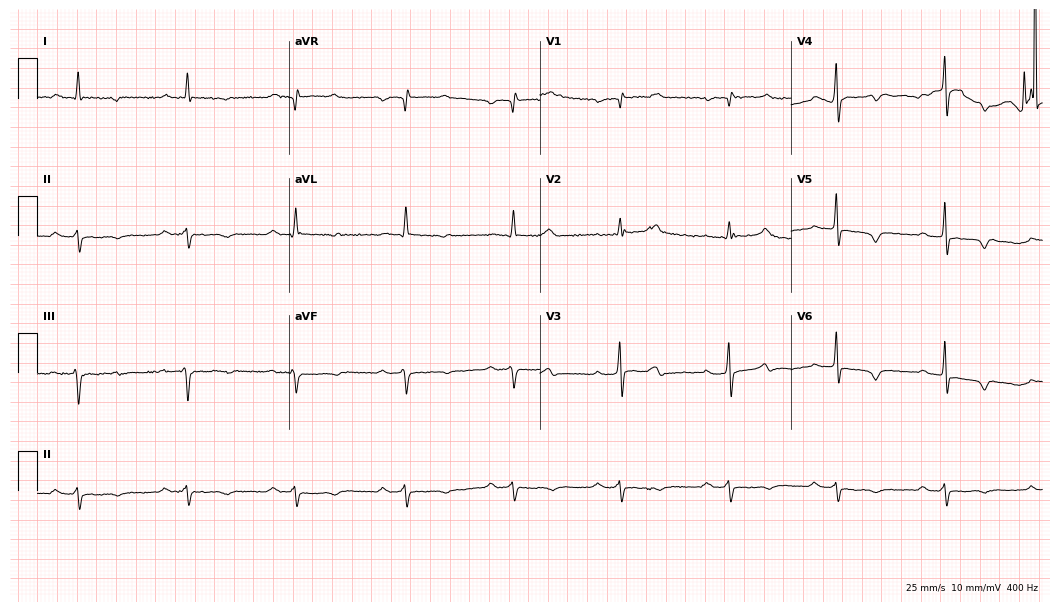
Standard 12-lead ECG recorded from a male, 73 years old (10.2-second recording at 400 Hz). None of these six findings is recorded: first-degree AV block, right bundle branch block, left bundle branch block, sinus bradycardia, atrial fibrillation, sinus tachycardia.